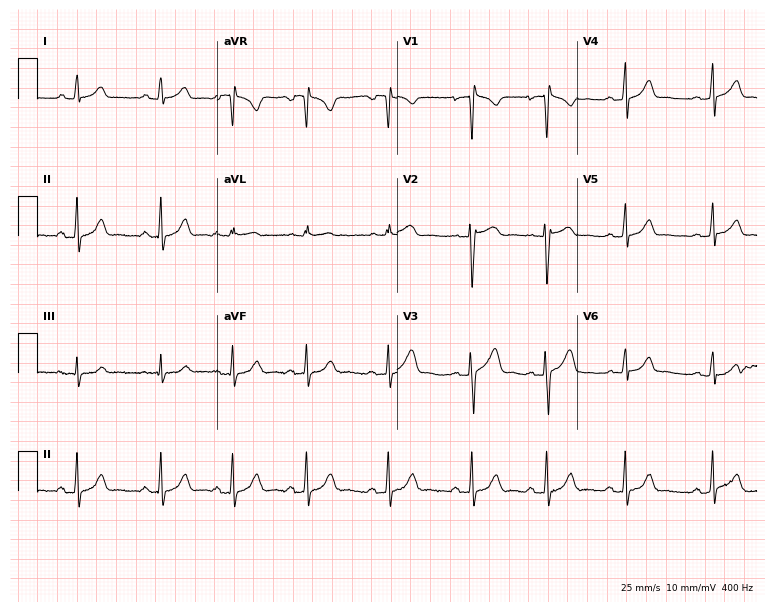
Resting 12-lead electrocardiogram (7.3-second recording at 400 Hz). Patient: a female, 20 years old. None of these six findings is recorded: first-degree AV block, right bundle branch block (RBBB), left bundle branch block (LBBB), sinus bradycardia, atrial fibrillation (AF), sinus tachycardia. Other findings, if any, are not listed.